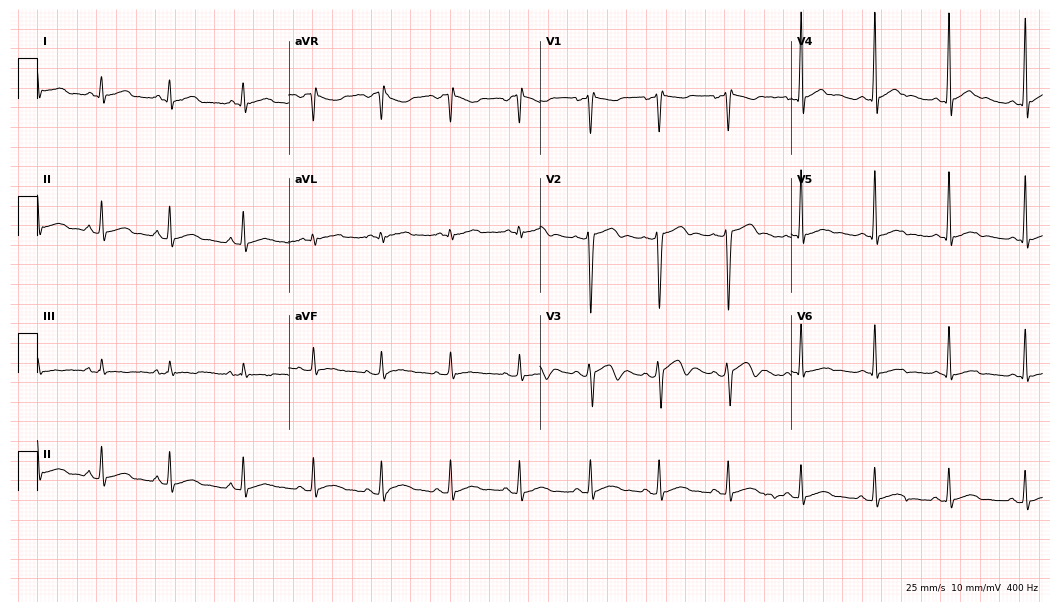
ECG (10.2-second recording at 400 Hz) — a 20-year-old male. Labelled as a normal ECG.